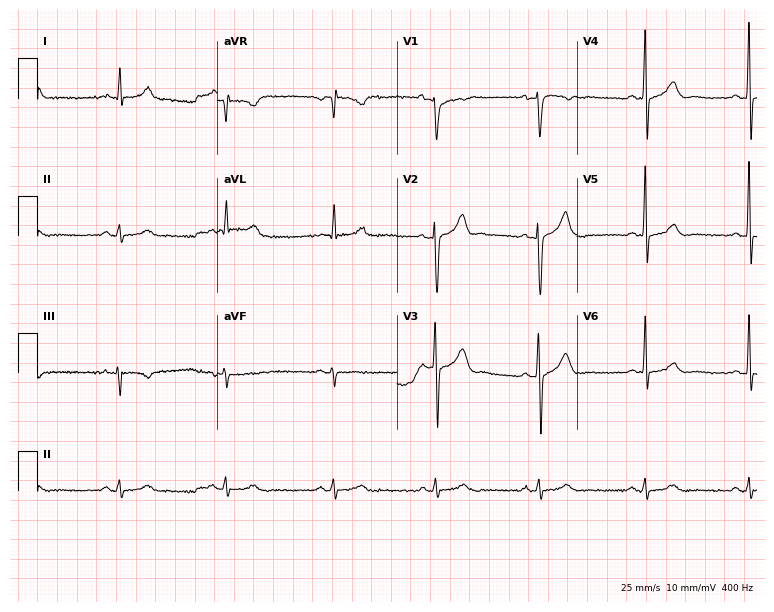
Resting 12-lead electrocardiogram (7.3-second recording at 400 Hz). Patient: a man, 46 years old. Read as a normal ECG.